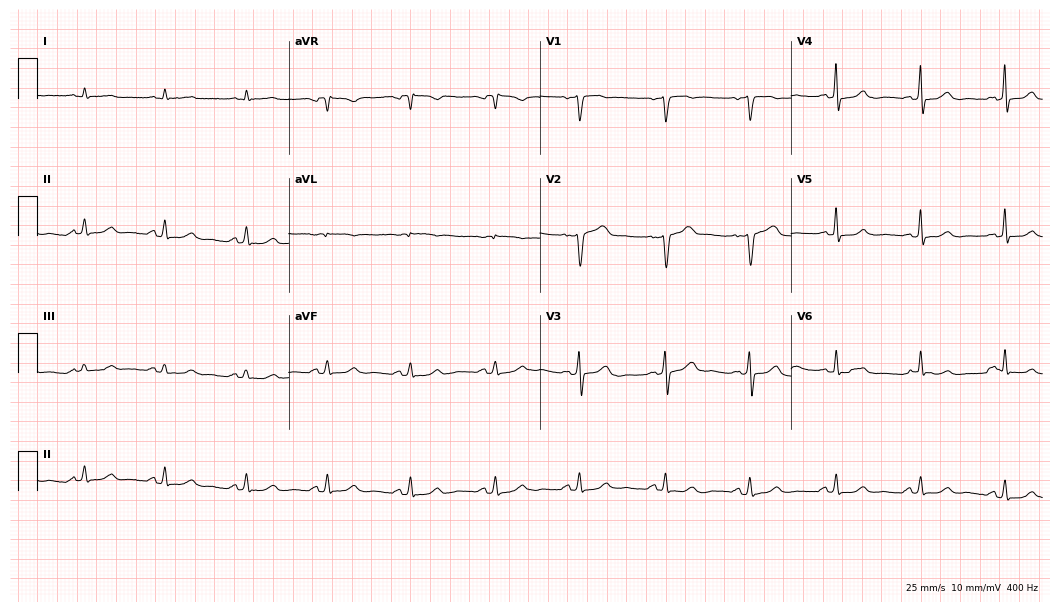
Electrocardiogram (10.2-second recording at 400 Hz), a female patient, 52 years old. Overall reading on record: normal ECG.